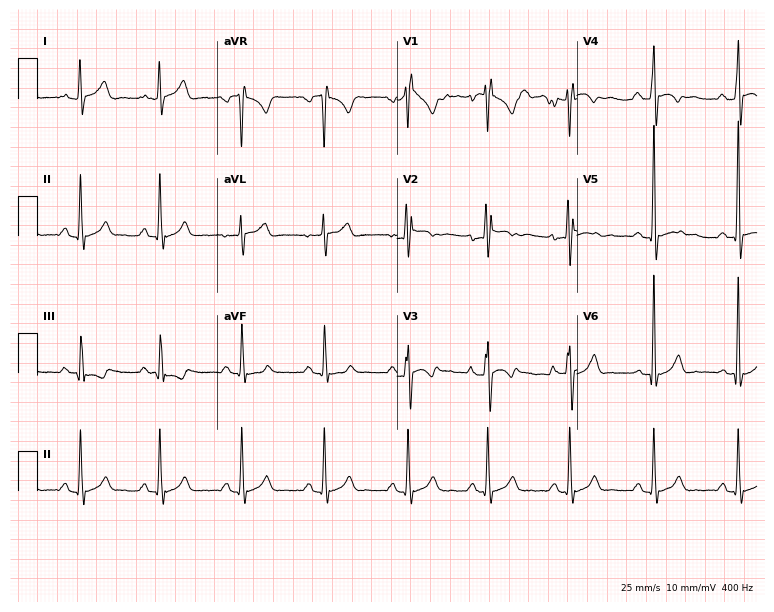
Electrocardiogram, a 17-year-old male patient. Of the six screened findings (first-degree AV block, right bundle branch block (RBBB), left bundle branch block (LBBB), sinus bradycardia, atrial fibrillation (AF), sinus tachycardia), none is recorded. Other findings, if any, are not listed.